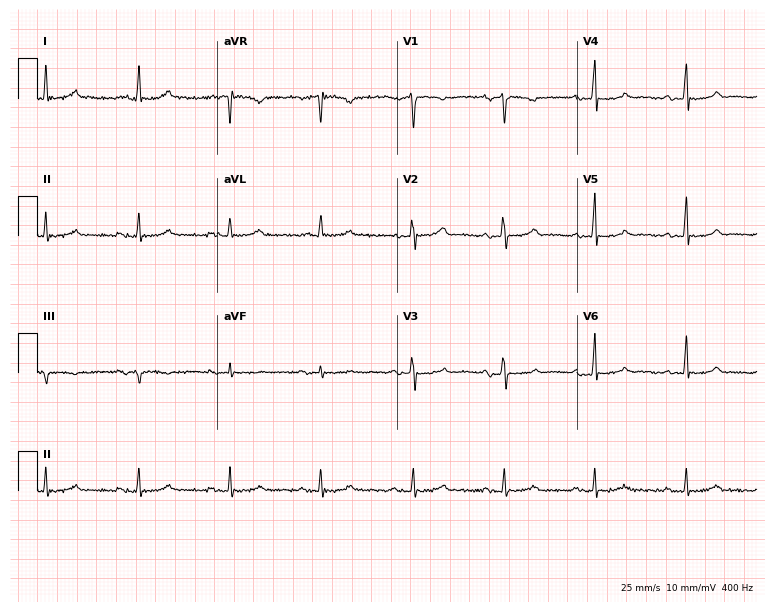
ECG — a 66-year-old female patient. Labelled as a normal ECG.